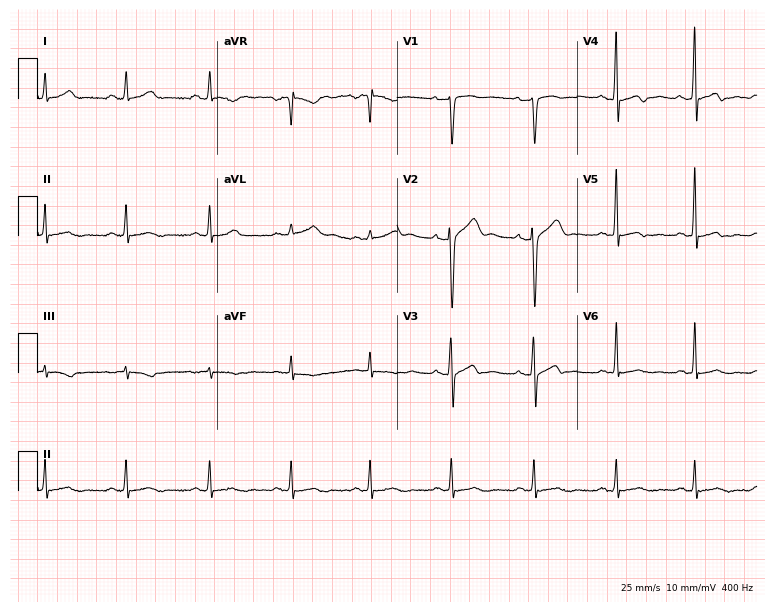
Resting 12-lead electrocardiogram. Patient: a male, 40 years old. None of these six findings is recorded: first-degree AV block, right bundle branch block, left bundle branch block, sinus bradycardia, atrial fibrillation, sinus tachycardia. Findings outside these six are not listed.